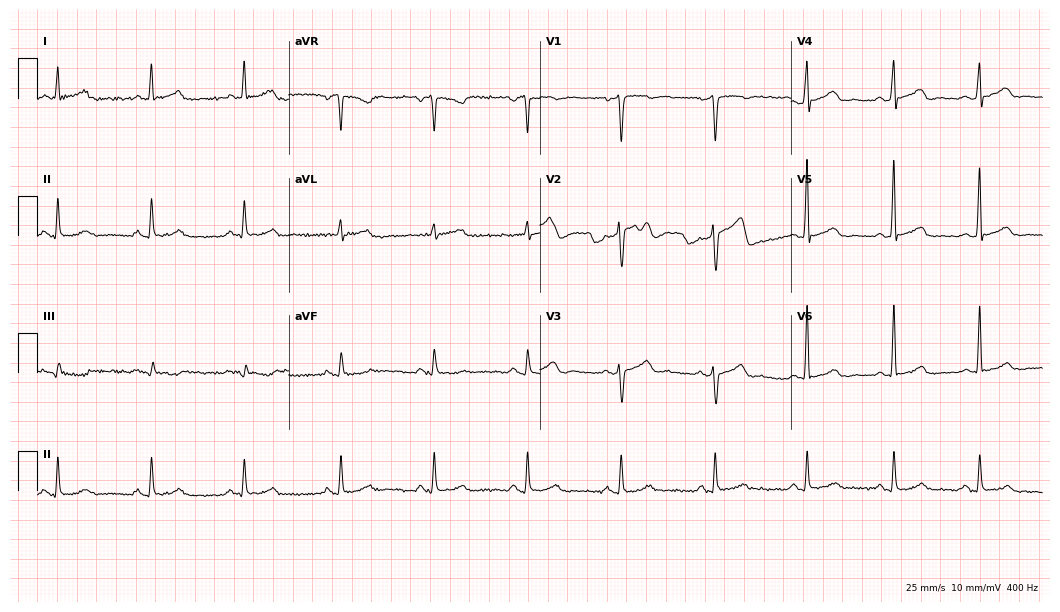
12-lead ECG from a male, 52 years old. Recorded interpretation: within normal limits.